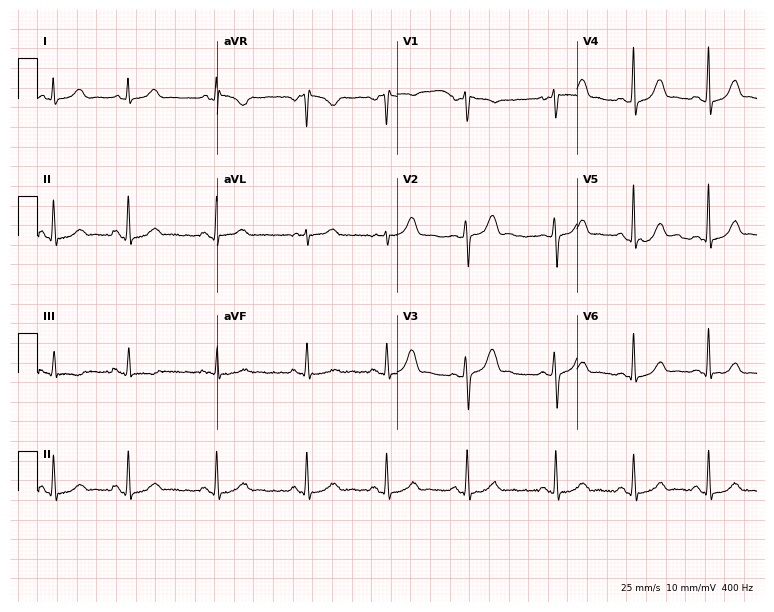
12-lead ECG (7.3-second recording at 400 Hz) from a 24-year-old female. Labelled as a normal ECG.